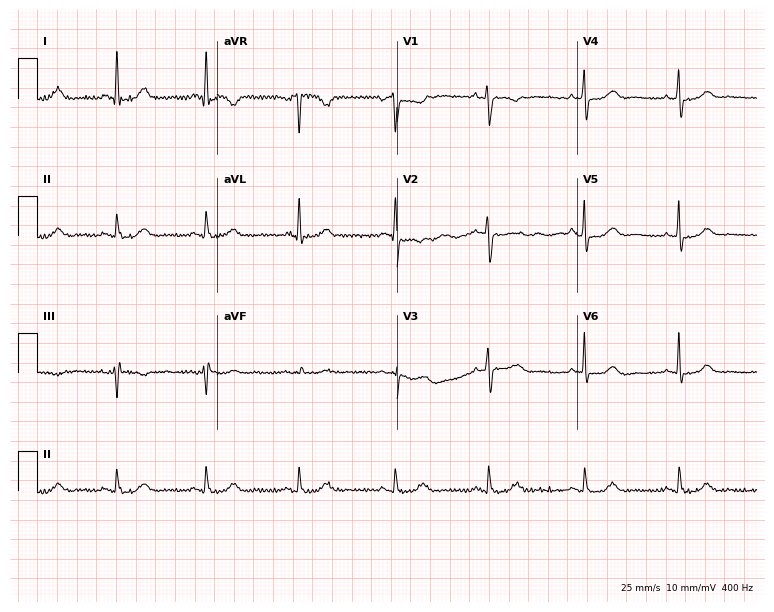
12-lead ECG from a 62-year-old female. Recorded interpretation: within normal limits.